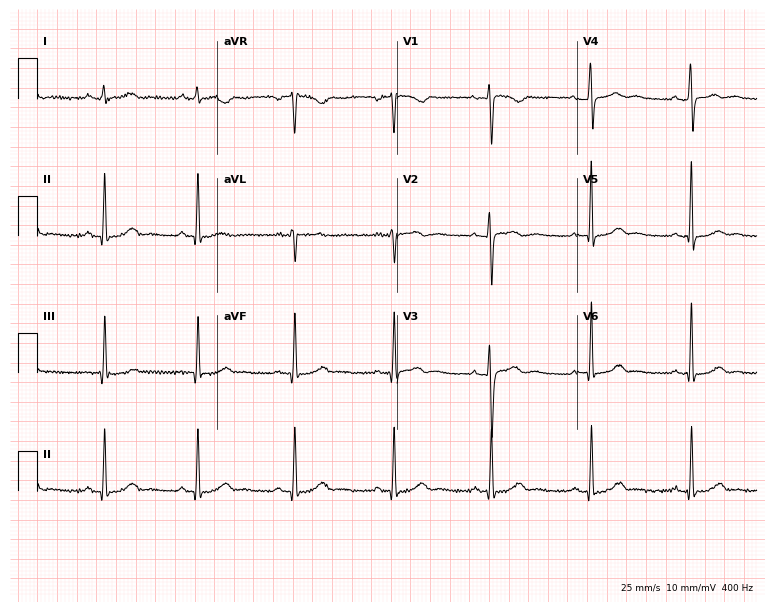
12-lead ECG (7.3-second recording at 400 Hz) from a 40-year-old female patient. Screened for six findings — first-degree AV block, right bundle branch block (RBBB), left bundle branch block (LBBB), sinus bradycardia, atrial fibrillation (AF), sinus tachycardia — none is recorded. Findings outside these six are not listed.